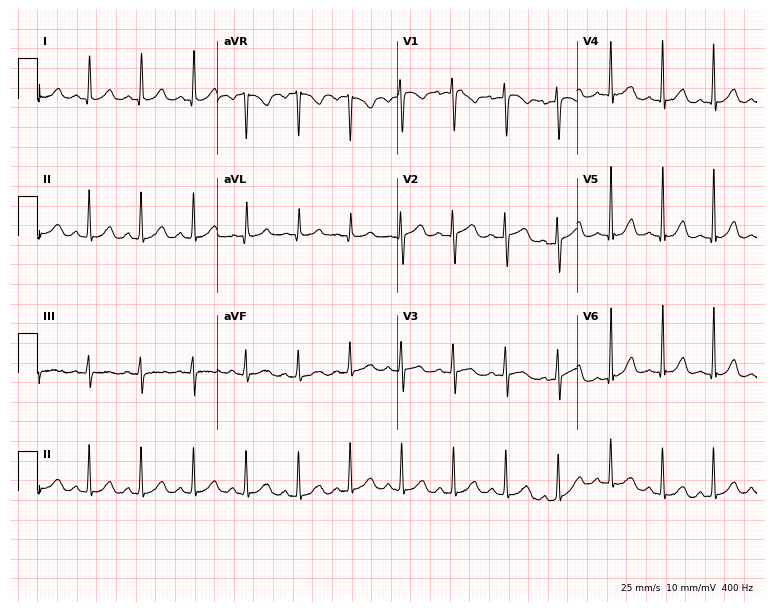
12-lead ECG from a female, 32 years old. Shows sinus tachycardia (a sinus rate of 100 beats per minute or more).